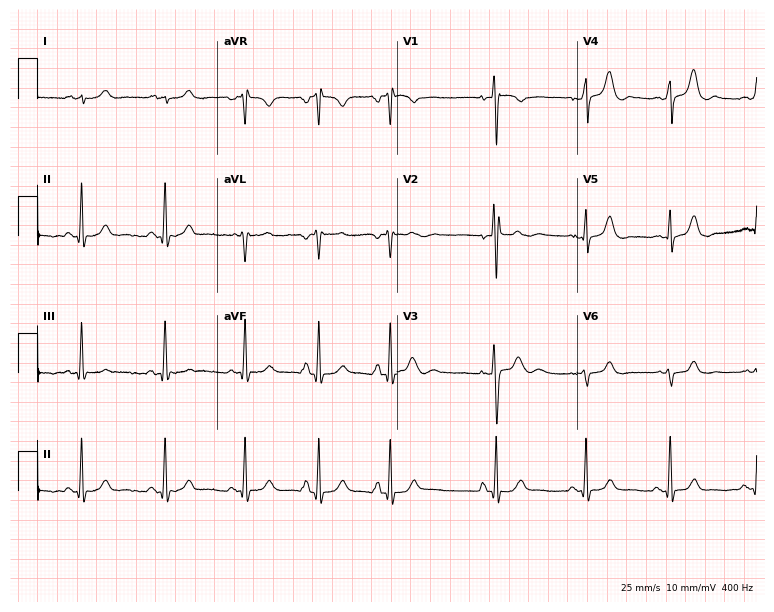
12-lead ECG from a male patient, 28 years old (7.3-second recording at 400 Hz). No first-degree AV block, right bundle branch block (RBBB), left bundle branch block (LBBB), sinus bradycardia, atrial fibrillation (AF) or sinus tachycardia recorded for this tracing.